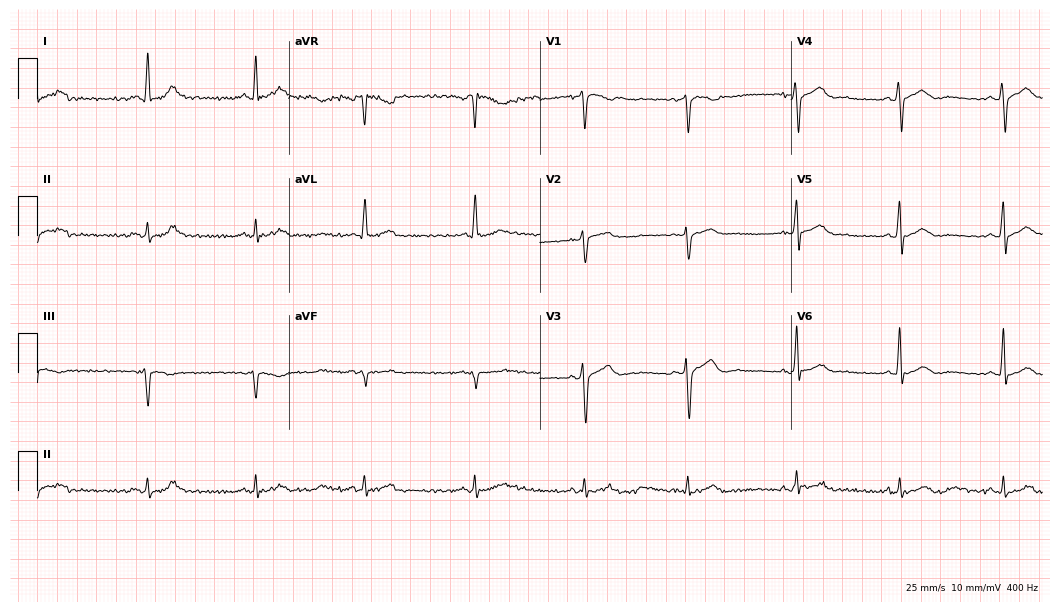
12-lead ECG from a man, 37 years old. Screened for six findings — first-degree AV block, right bundle branch block, left bundle branch block, sinus bradycardia, atrial fibrillation, sinus tachycardia — none is recorded.